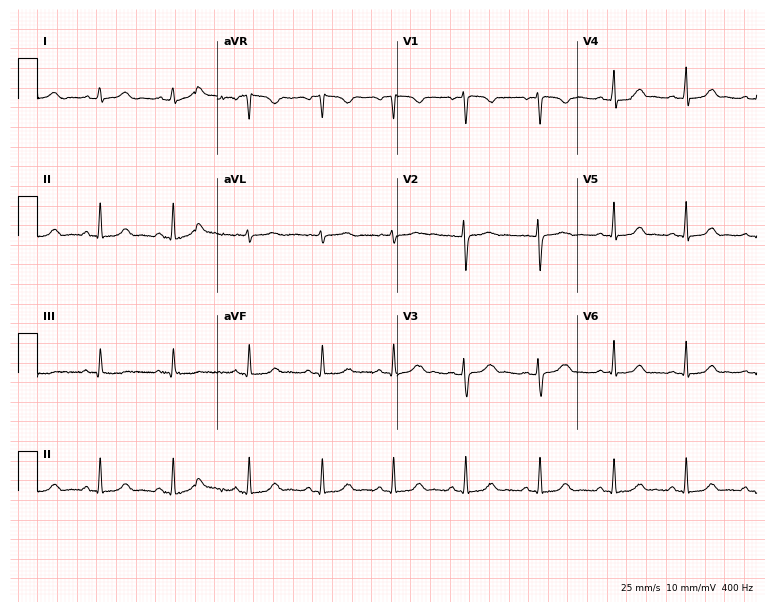
Electrocardiogram (7.3-second recording at 400 Hz), a female, 27 years old. Overall reading on record: normal ECG.